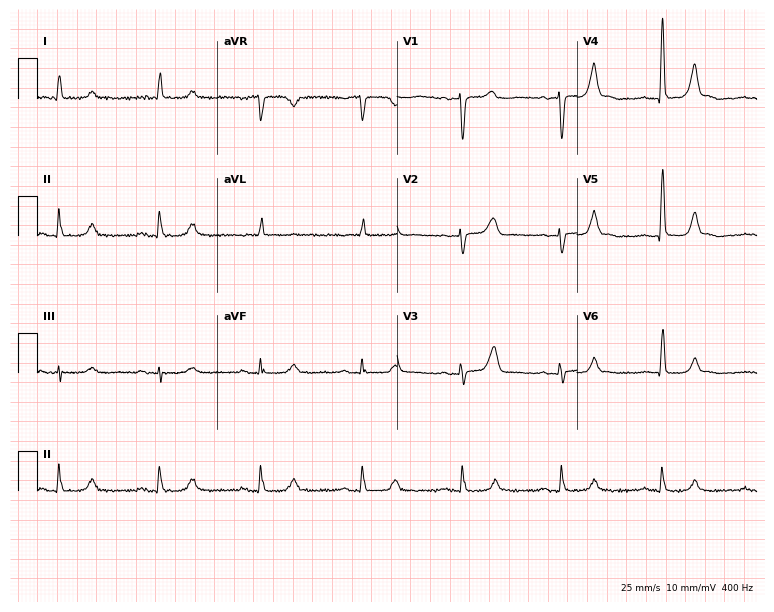
12-lead ECG from a male, 79 years old. No first-degree AV block, right bundle branch block (RBBB), left bundle branch block (LBBB), sinus bradycardia, atrial fibrillation (AF) or sinus tachycardia recorded for this tracing.